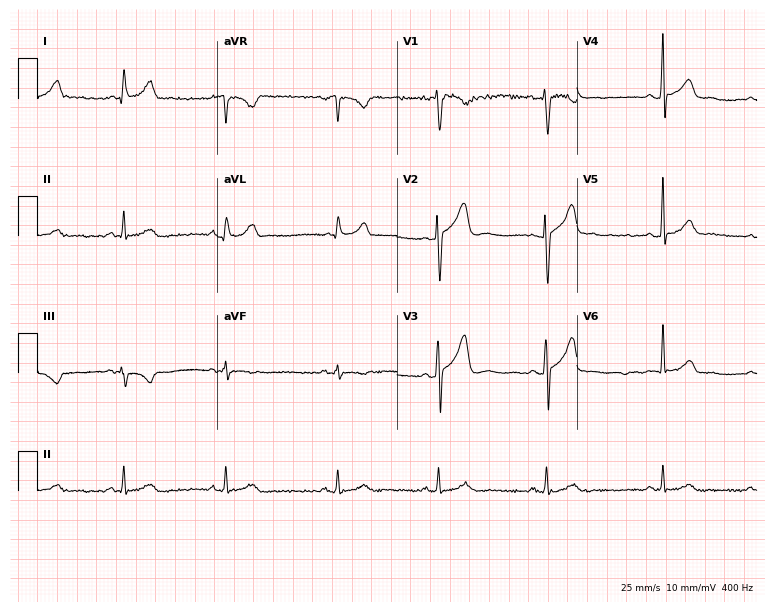
Resting 12-lead electrocardiogram. Patient: a 41-year-old male. None of these six findings is recorded: first-degree AV block, right bundle branch block, left bundle branch block, sinus bradycardia, atrial fibrillation, sinus tachycardia. Only these six findings were labelled.